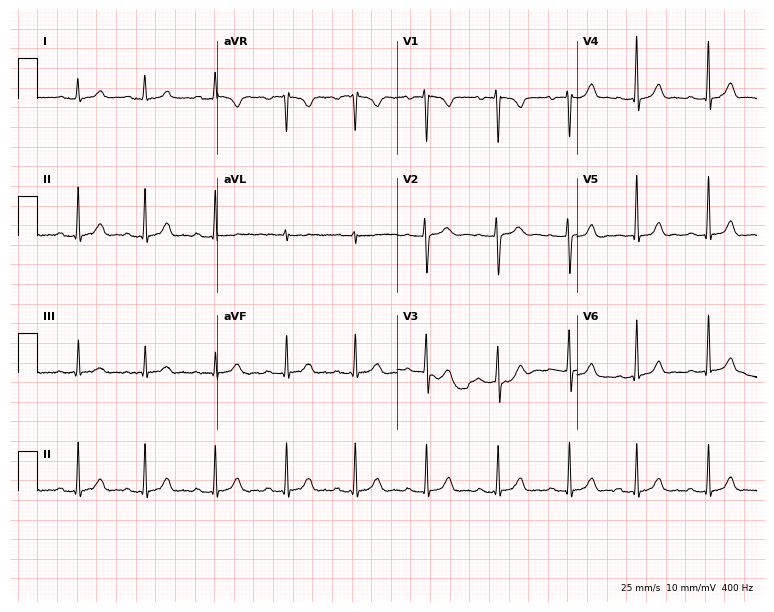
ECG (7.3-second recording at 400 Hz) — a 22-year-old woman. Labelled as a normal ECG.